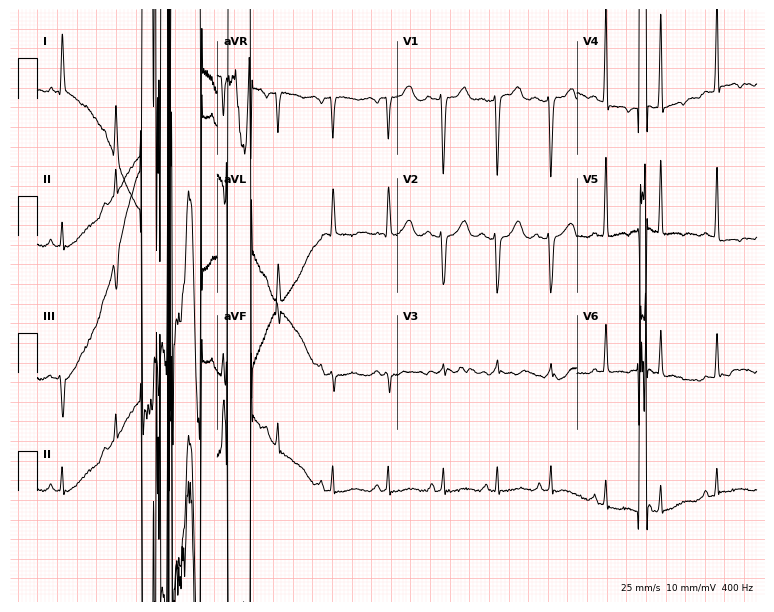
12-lead ECG (7.3-second recording at 400 Hz) from a 50-year-old female. Screened for six findings — first-degree AV block, right bundle branch block, left bundle branch block, sinus bradycardia, atrial fibrillation, sinus tachycardia — none is recorded. Other findings, if any, are not listed.